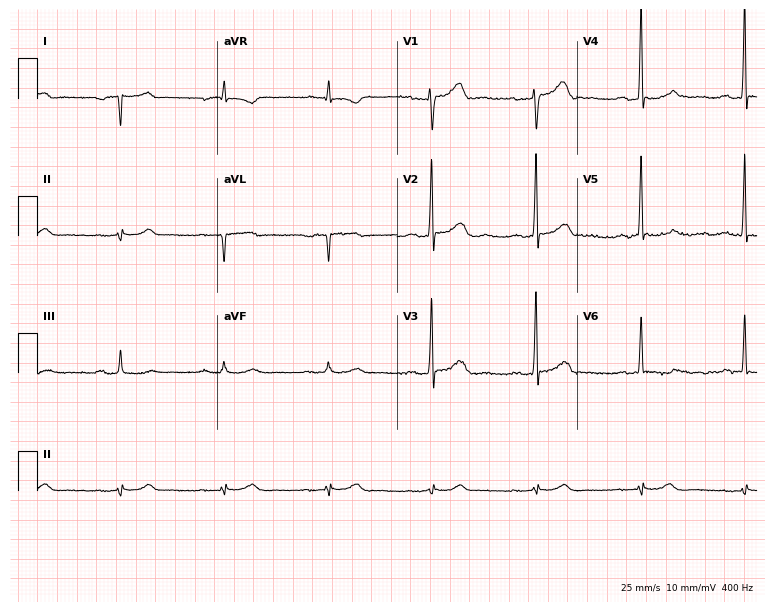
Electrocardiogram (7.3-second recording at 400 Hz), a 65-year-old male. Of the six screened findings (first-degree AV block, right bundle branch block (RBBB), left bundle branch block (LBBB), sinus bradycardia, atrial fibrillation (AF), sinus tachycardia), none is recorded. Findings outside these six are not listed.